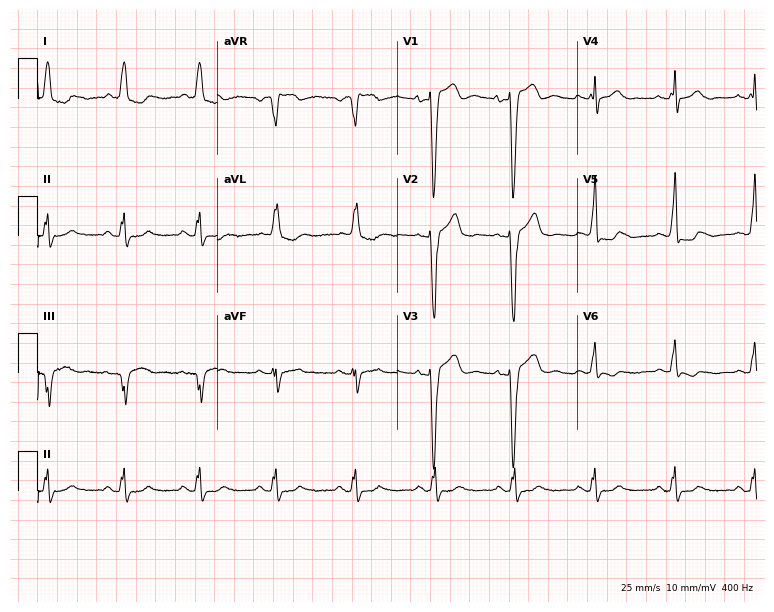
ECG — an 84-year-old female. Findings include left bundle branch block.